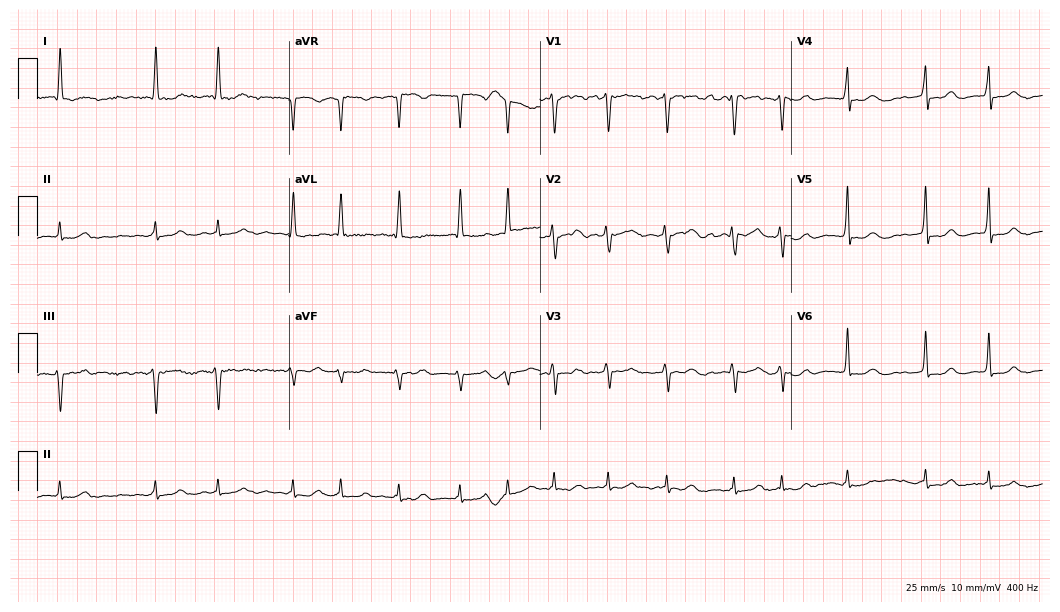
Standard 12-lead ECG recorded from a woman, 73 years old. The tracing shows atrial fibrillation (AF).